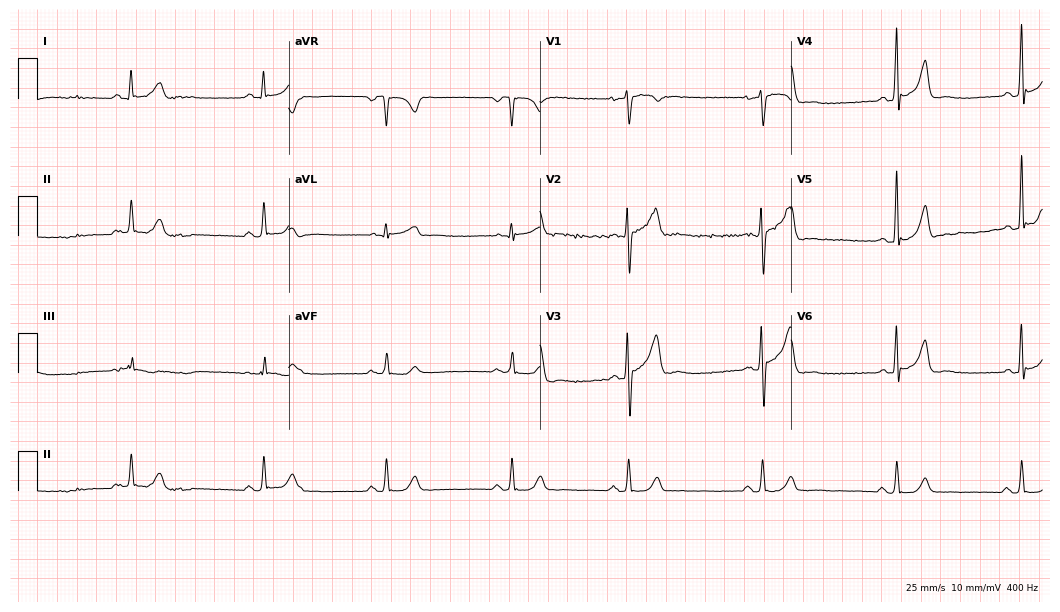
12-lead ECG from a male patient, 22 years old. Findings include atrial fibrillation.